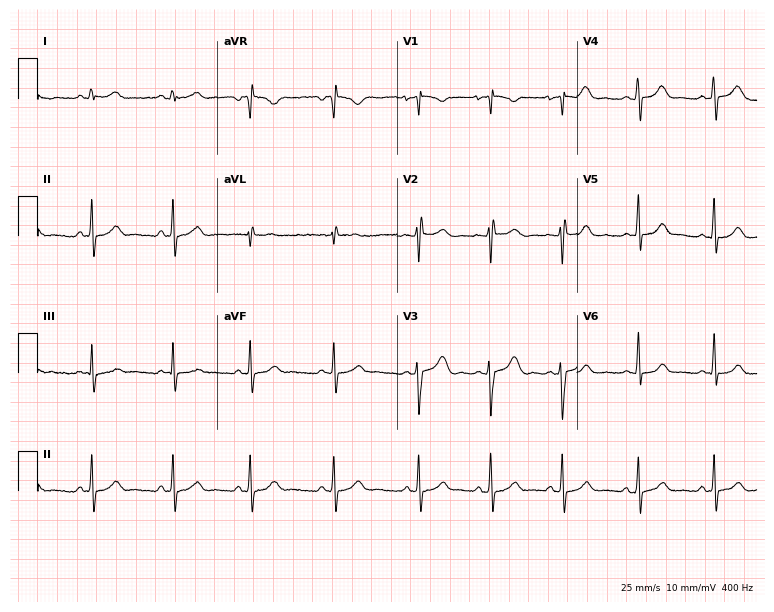
12-lead ECG from a female, 17 years old. No first-degree AV block, right bundle branch block (RBBB), left bundle branch block (LBBB), sinus bradycardia, atrial fibrillation (AF) or sinus tachycardia recorded for this tracing. Other findings, if any, are not listed.